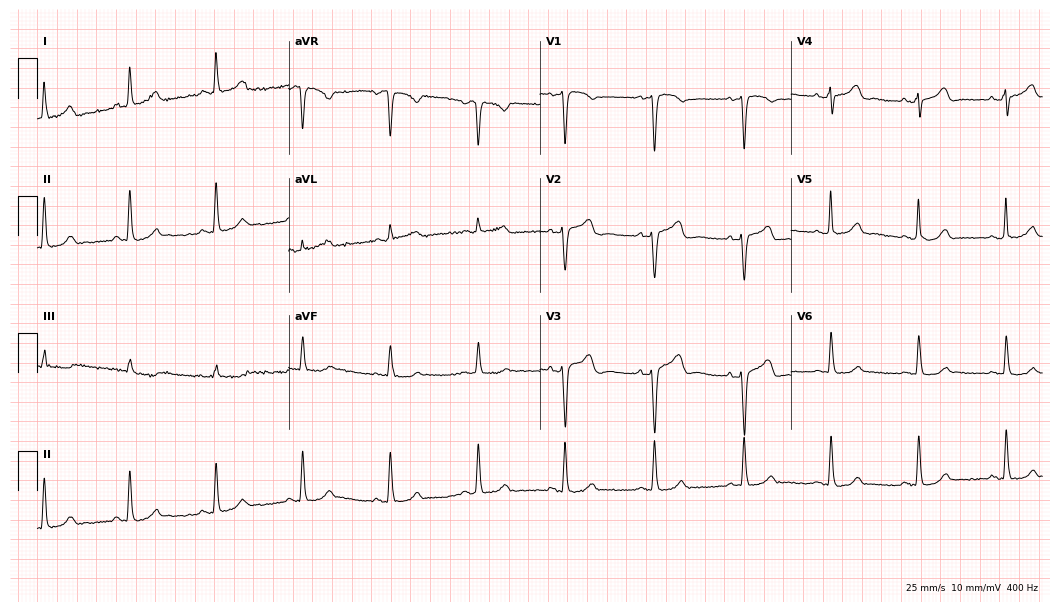
Resting 12-lead electrocardiogram. Patient: a 55-year-old woman. Read as a normal ECG.